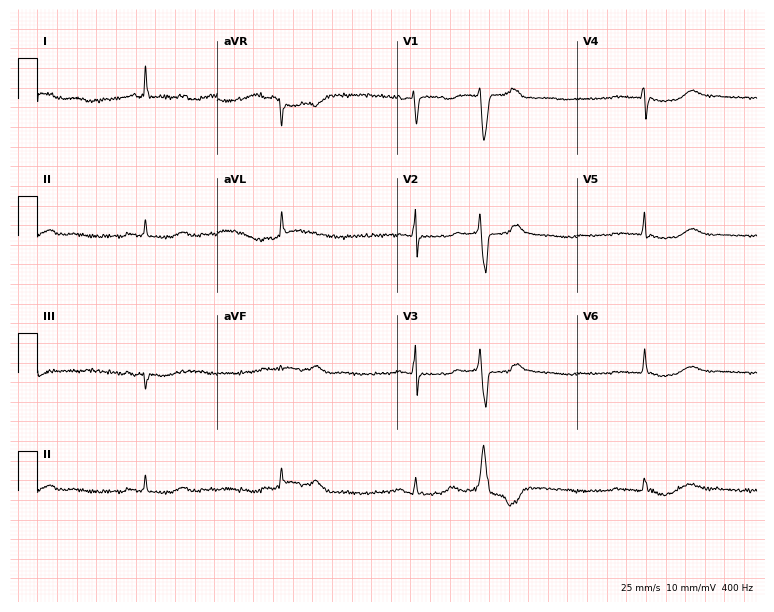
ECG (7.3-second recording at 400 Hz) — a female, 71 years old. Findings include sinus bradycardia (a sinus rate of 50 beats per minute or less).